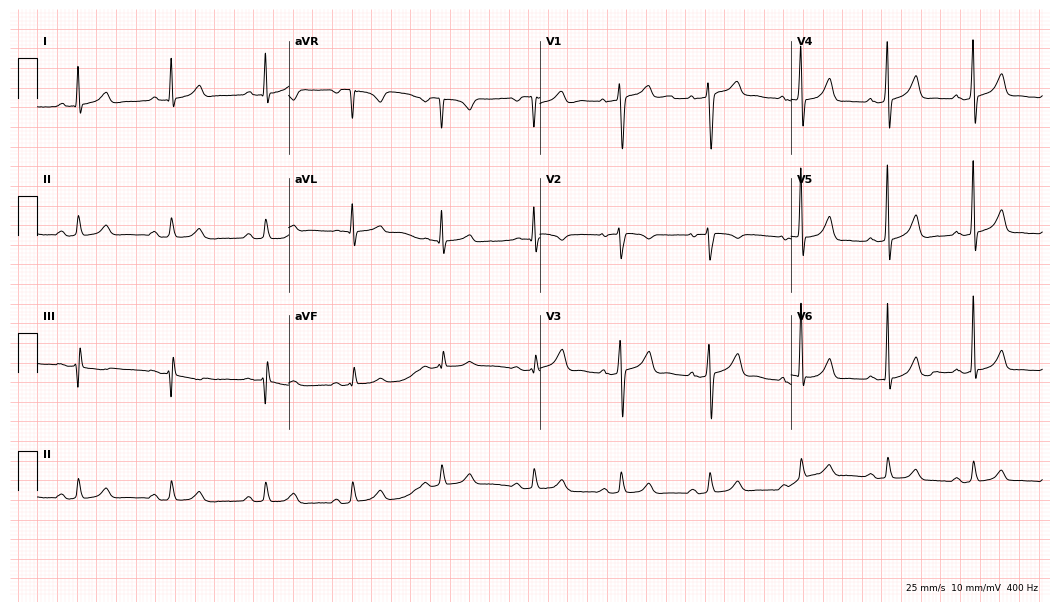
ECG — a 54-year-old man. Screened for six findings — first-degree AV block, right bundle branch block (RBBB), left bundle branch block (LBBB), sinus bradycardia, atrial fibrillation (AF), sinus tachycardia — none is recorded.